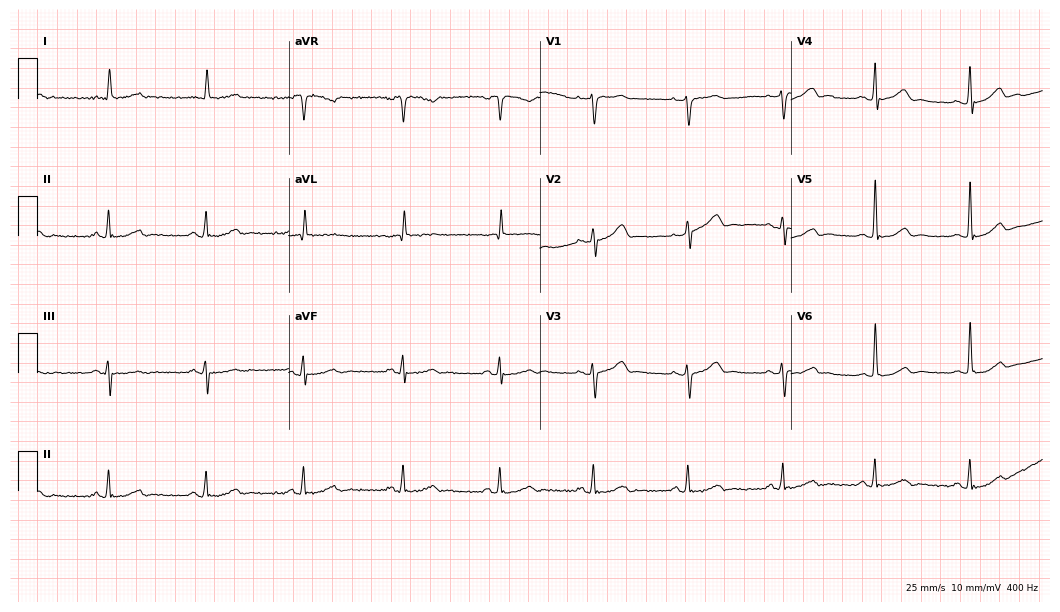
ECG — a 70-year-old male patient. Labelled as a normal ECG.